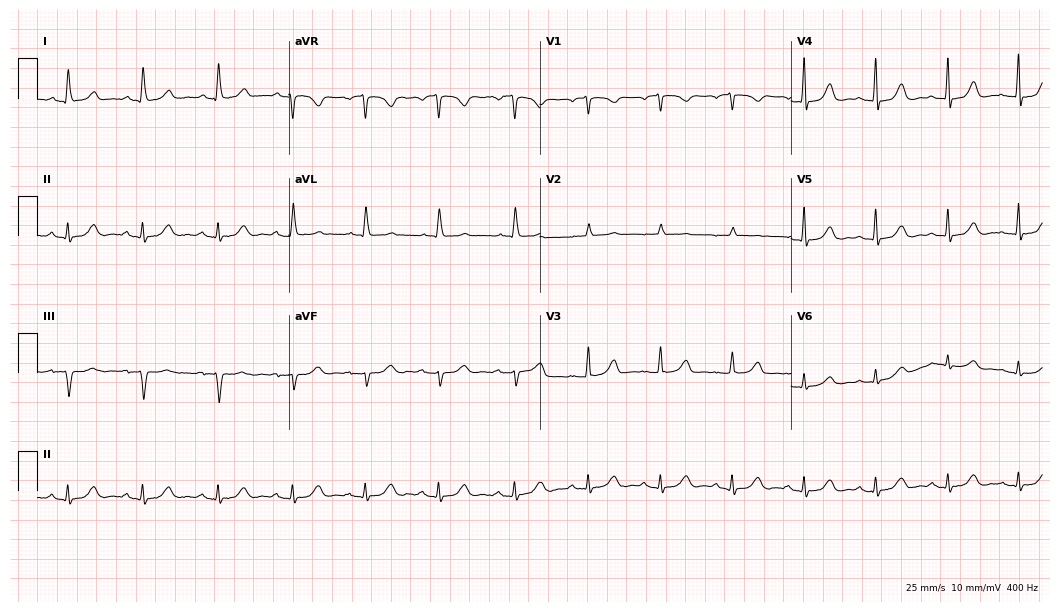
Resting 12-lead electrocardiogram. Patient: a 78-year-old female. Read as a normal ECG.